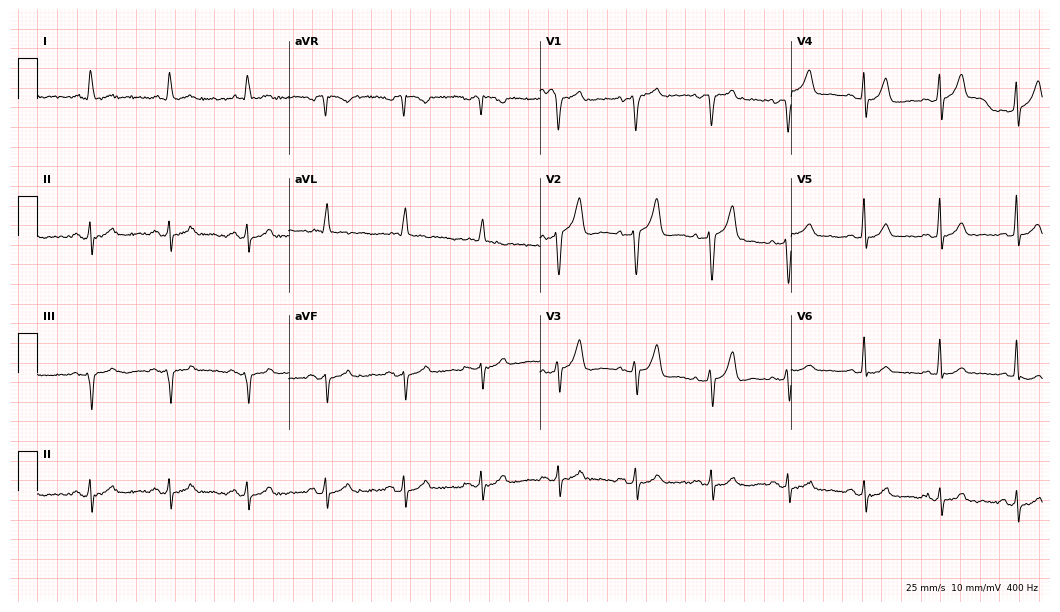
Electrocardiogram, a woman, 74 years old. Overall reading on record: normal ECG.